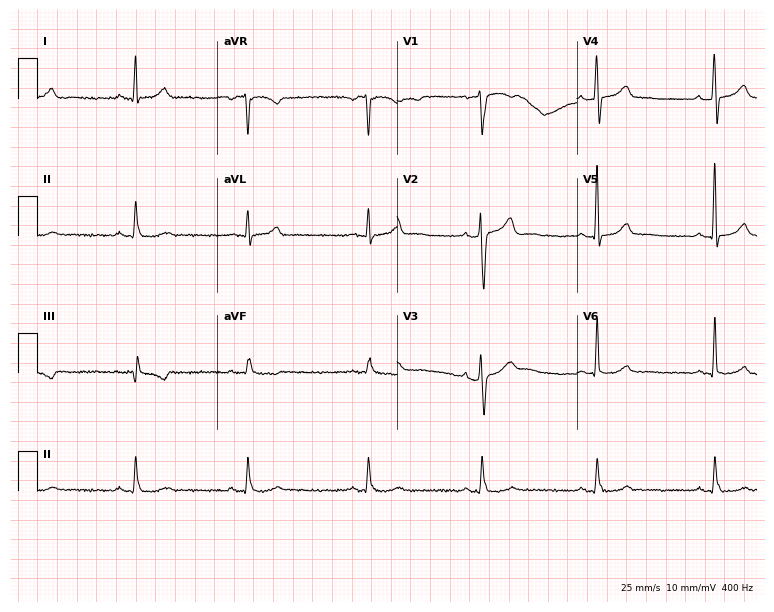
Electrocardiogram, a 56-year-old man. Interpretation includes sinus bradycardia (a sinus rate of 50 beats per minute or less).